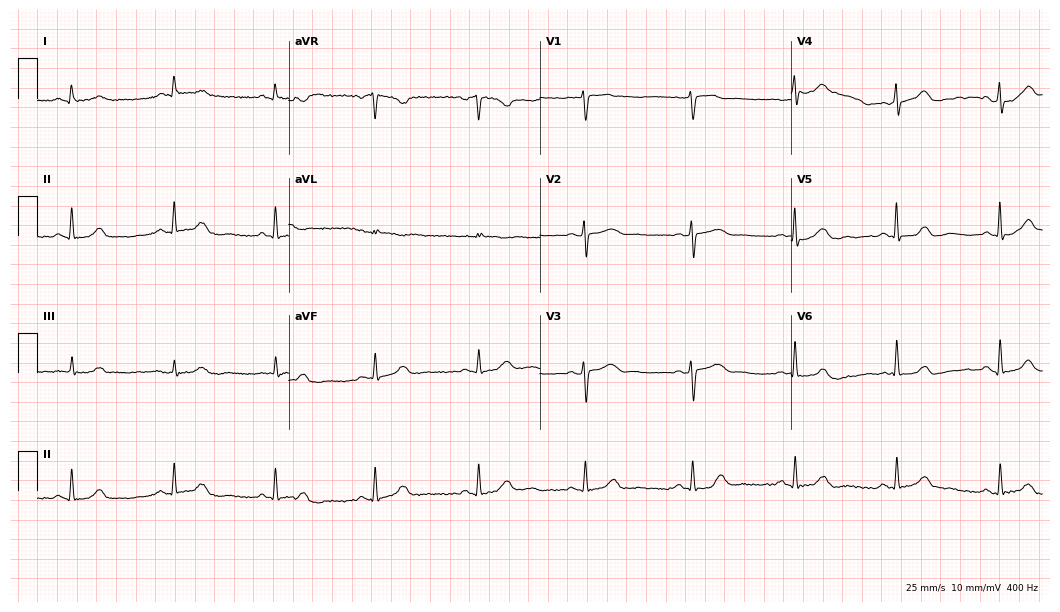
Resting 12-lead electrocardiogram. Patient: a 70-year-old male. Read as a normal ECG.